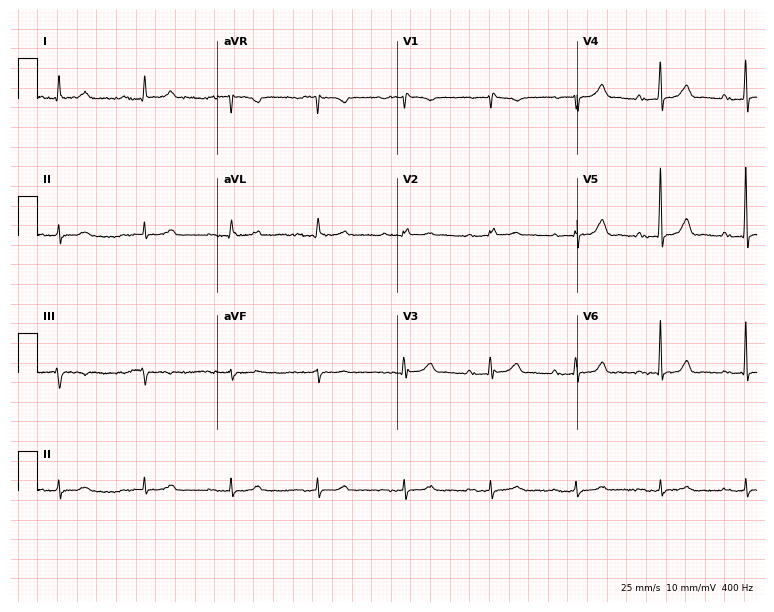
Resting 12-lead electrocardiogram. Patient: a man, 84 years old. The tracing shows first-degree AV block.